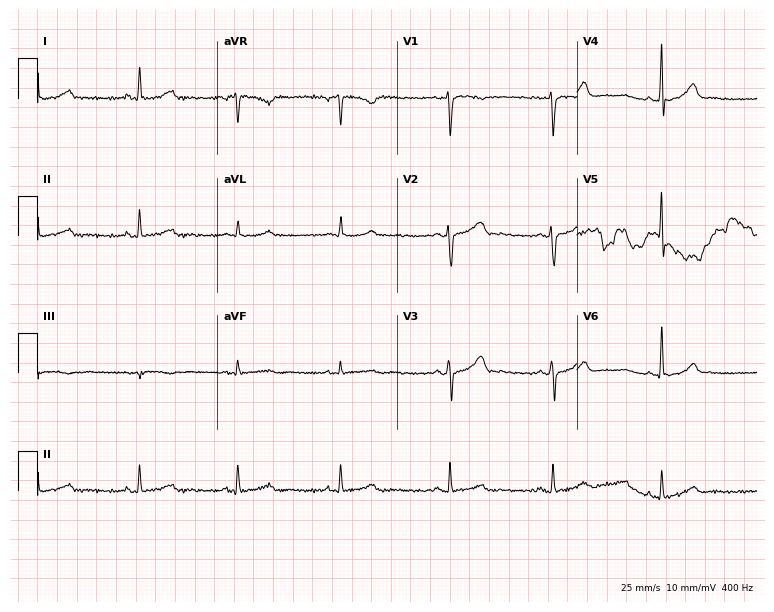
12-lead ECG from a female patient, 41 years old (7.3-second recording at 400 Hz). No first-degree AV block, right bundle branch block, left bundle branch block, sinus bradycardia, atrial fibrillation or sinus tachycardia recorded for this tracing. Other findings, if any, are not listed.